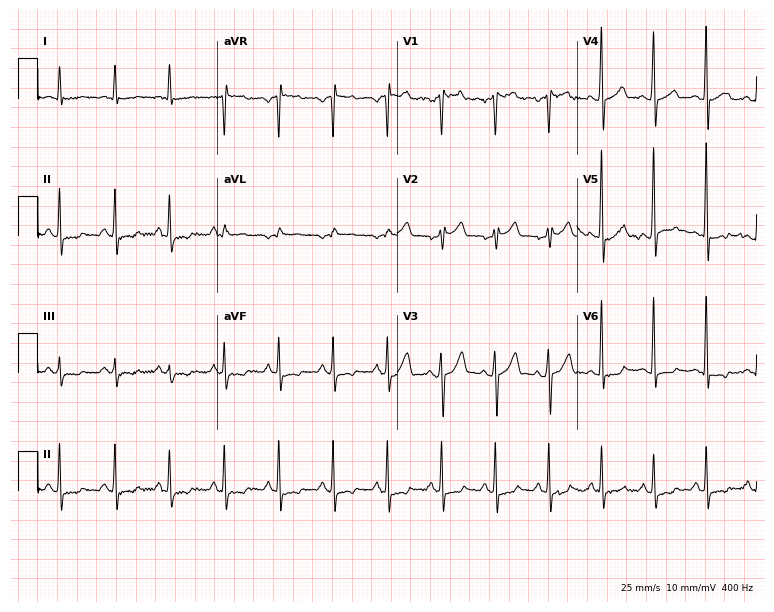
12-lead ECG from a 63-year-old male patient (7.3-second recording at 400 Hz). Shows sinus tachycardia (a sinus rate of 100 beats per minute or more).